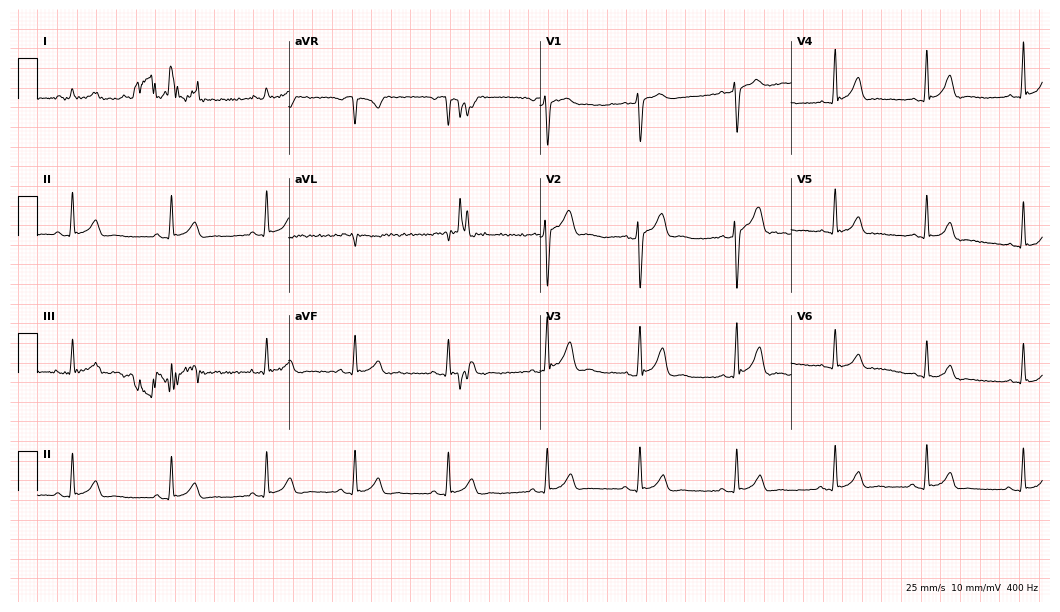
Electrocardiogram, a 27-year-old man. Overall reading on record: normal ECG.